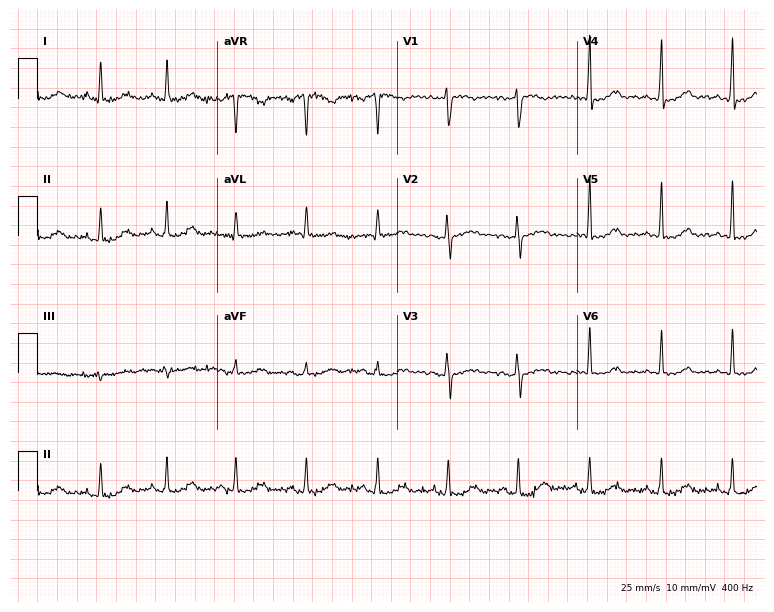
Resting 12-lead electrocardiogram. Patient: a female, 47 years old. None of these six findings is recorded: first-degree AV block, right bundle branch block, left bundle branch block, sinus bradycardia, atrial fibrillation, sinus tachycardia. Only these six findings were labelled.